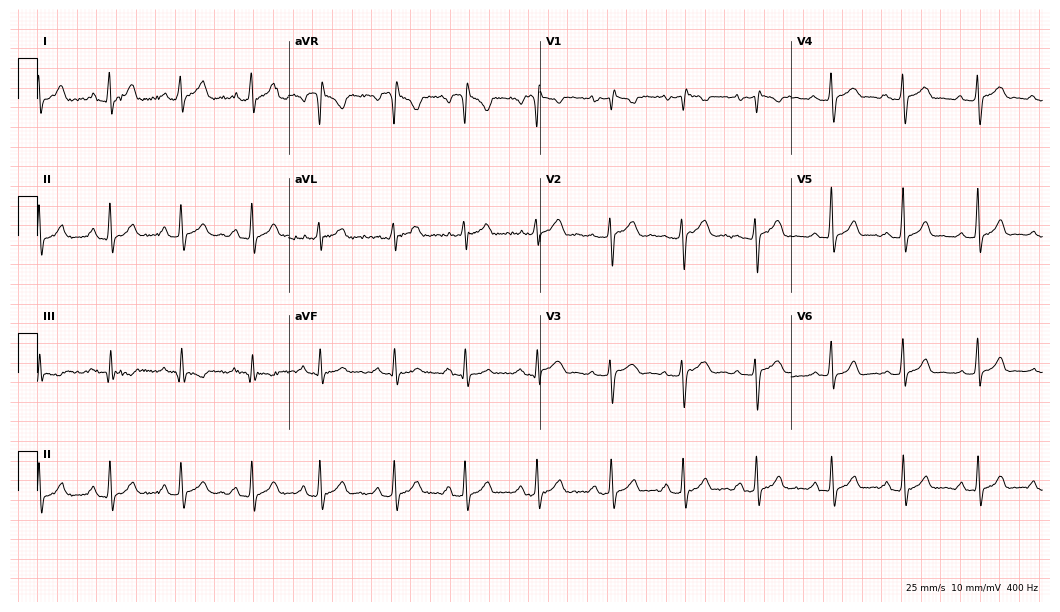
Standard 12-lead ECG recorded from a female patient, 24 years old. Read as a normal ECG.